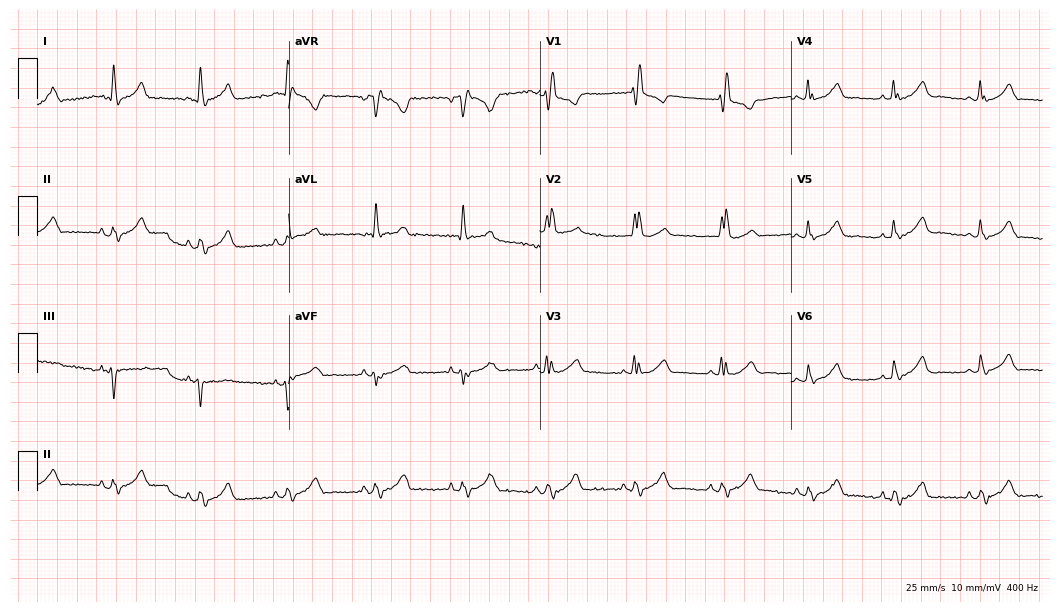
12-lead ECG from a woman, 81 years old (10.2-second recording at 400 Hz). Shows right bundle branch block.